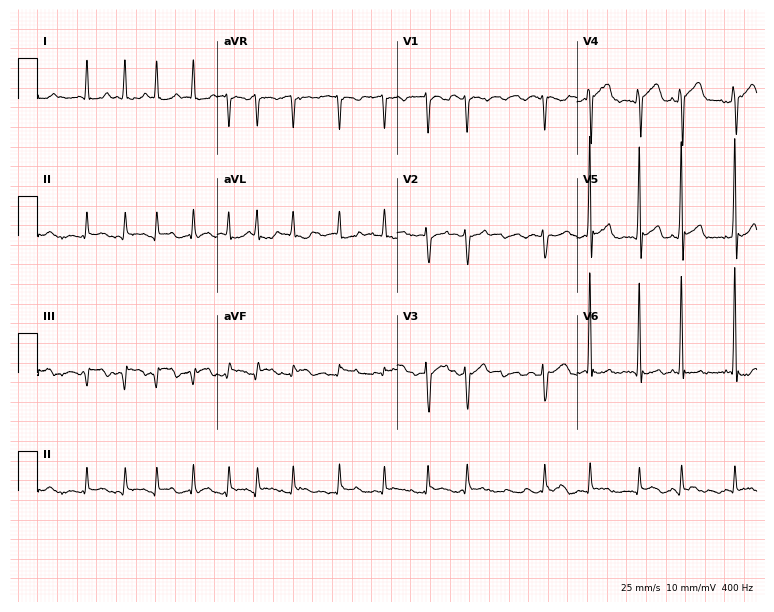
12-lead ECG from a male patient, 81 years old (7.3-second recording at 400 Hz). Shows atrial fibrillation.